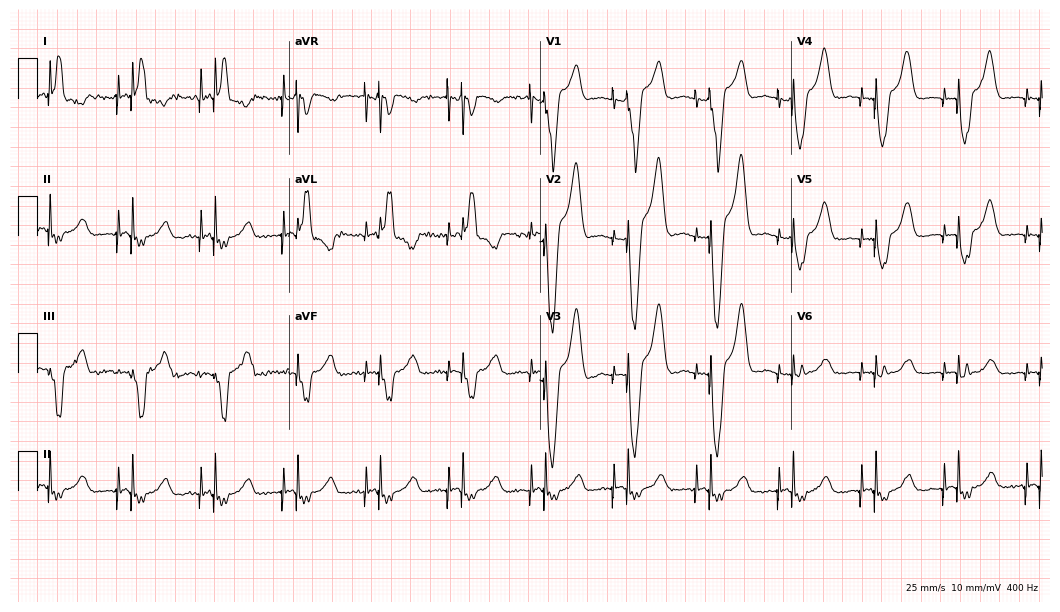
Electrocardiogram, a 58-year-old female patient. Of the six screened findings (first-degree AV block, right bundle branch block (RBBB), left bundle branch block (LBBB), sinus bradycardia, atrial fibrillation (AF), sinus tachycardia), none is recorded. Findings outside these six are not listed.